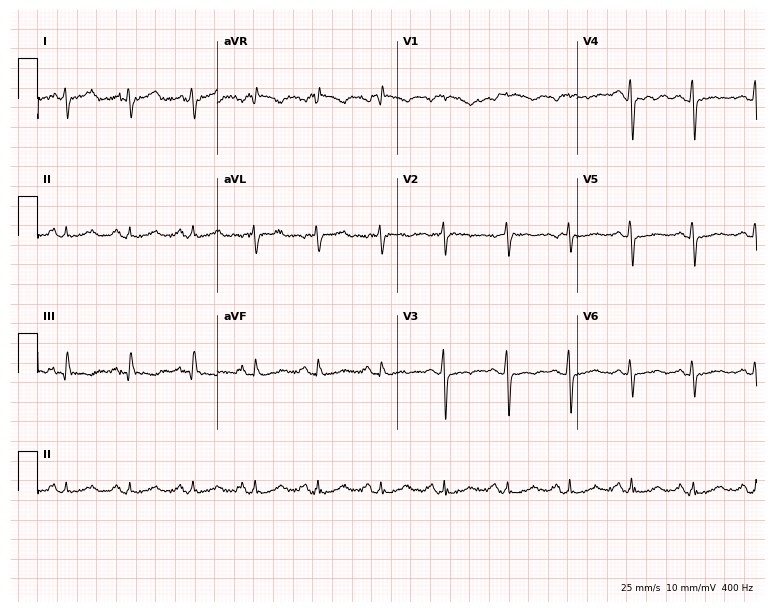
12-lead ECG from a female patient, 65 years old (7.3-second recording at 400 Hz). No first-degree AV block, right bundle branch block, left bundle branch block, sinus bradycardia, atrial fibrillation or sinus tachycardia recorded for this tracing. Findings outside these six are not listed.